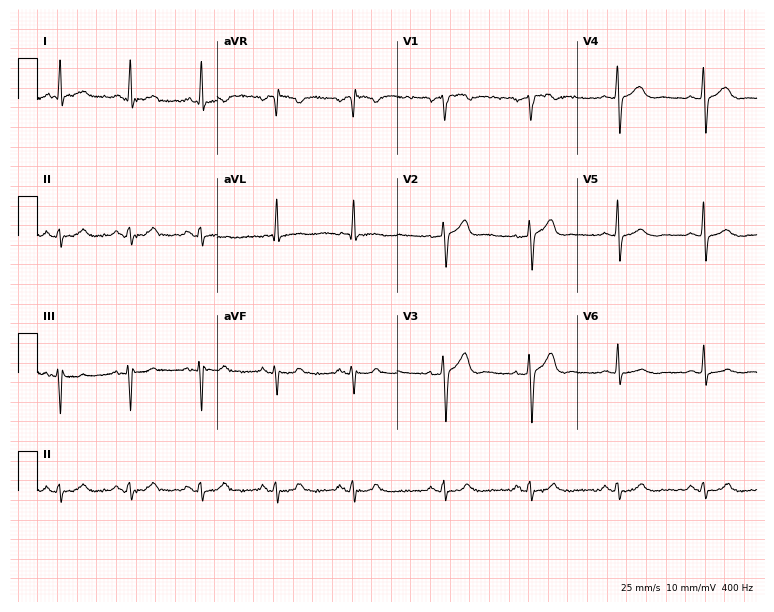
12-lead ECG from a man, 56 years old (7.3-second recording at 400 Hz). No first-degree AV block, right bundle branch block, left bundle branch block, sinus bradycardia, atrial fibrillation or sinus tachycardia recorded for this tracing.